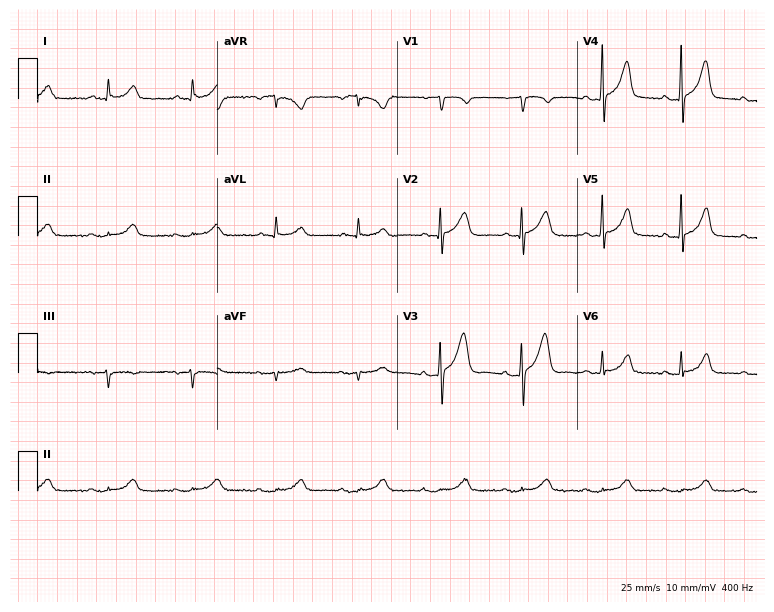
ECG — a 76-year-old man. Labelled as a normal ECG.